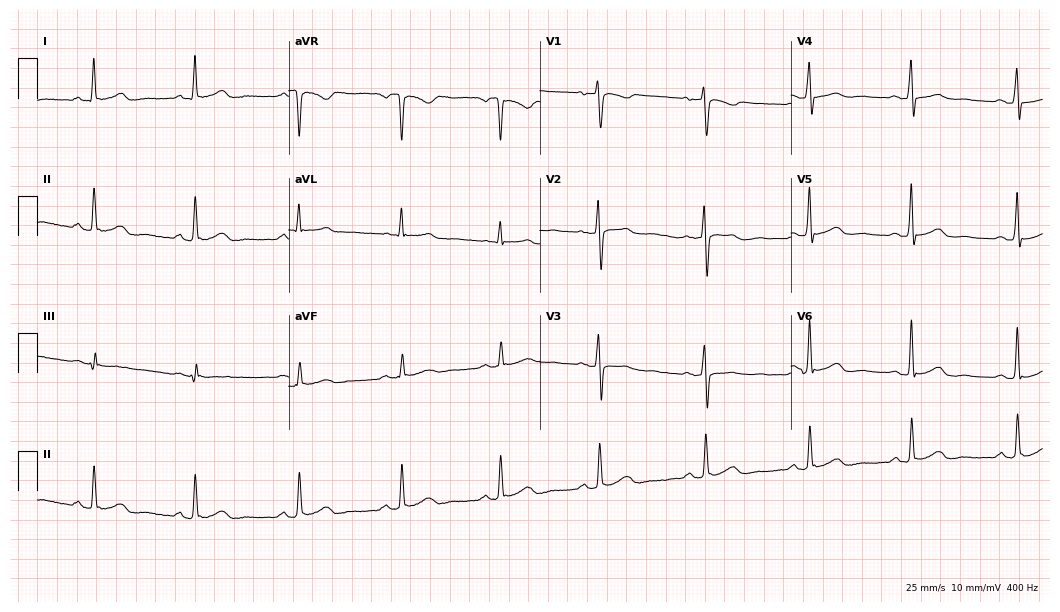
Standard 12-lead ECG recorded from a 50-year-old female. Read as a normal ECG.